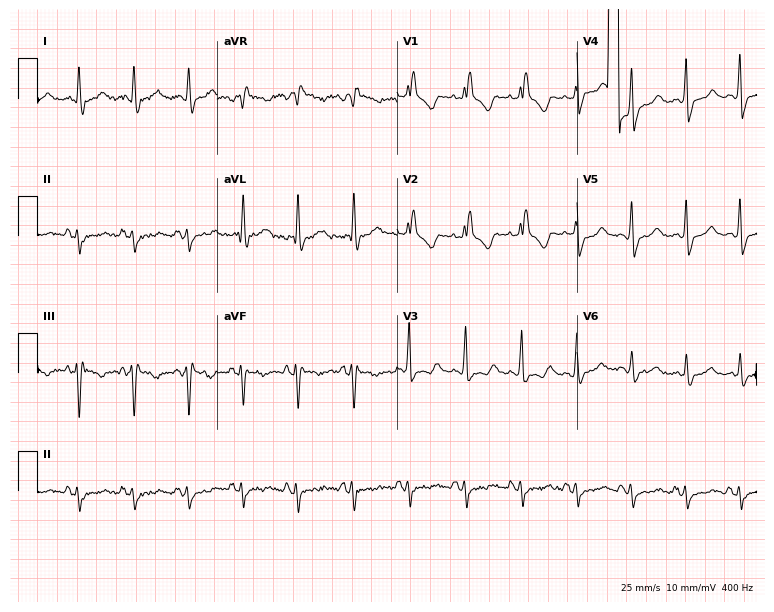
12-lead ECG from a female, 45 years old (7.3-second recording at 400 Hz). Shows right bundle branch block.